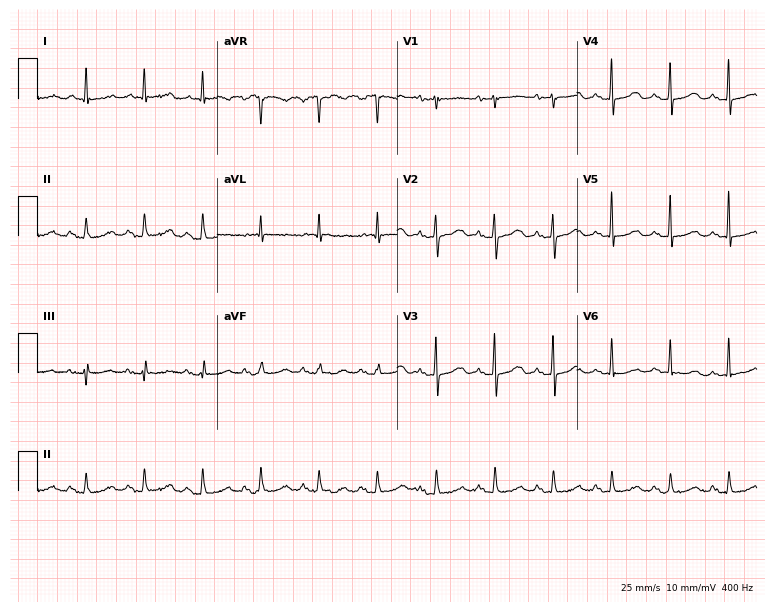
Standard 12-lead ECG recorded from an 83-year-old female (7.3-second recording at 400 Hz). The tracing shows sinus tachycardia (a sinus rate of 100 beats per minute or more).